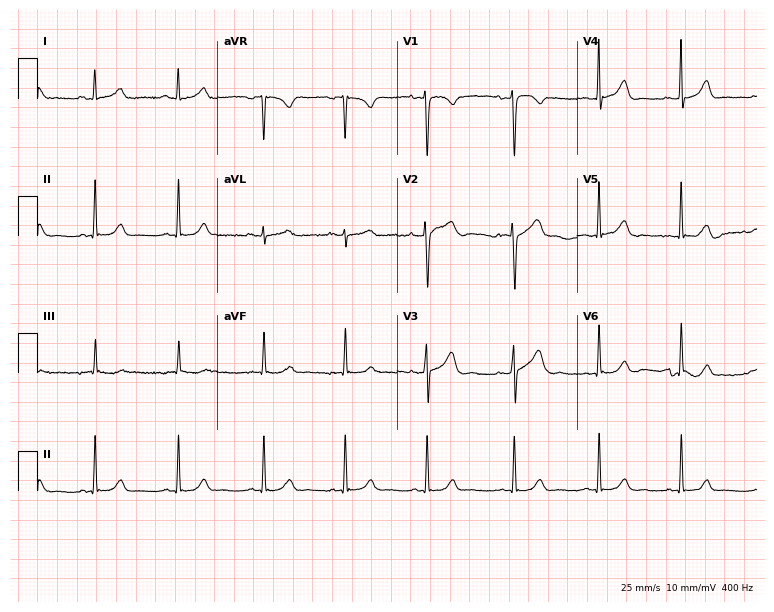
Standard 12-lead ECG recorded from a 32-year-old female. Read as a normal ECG.